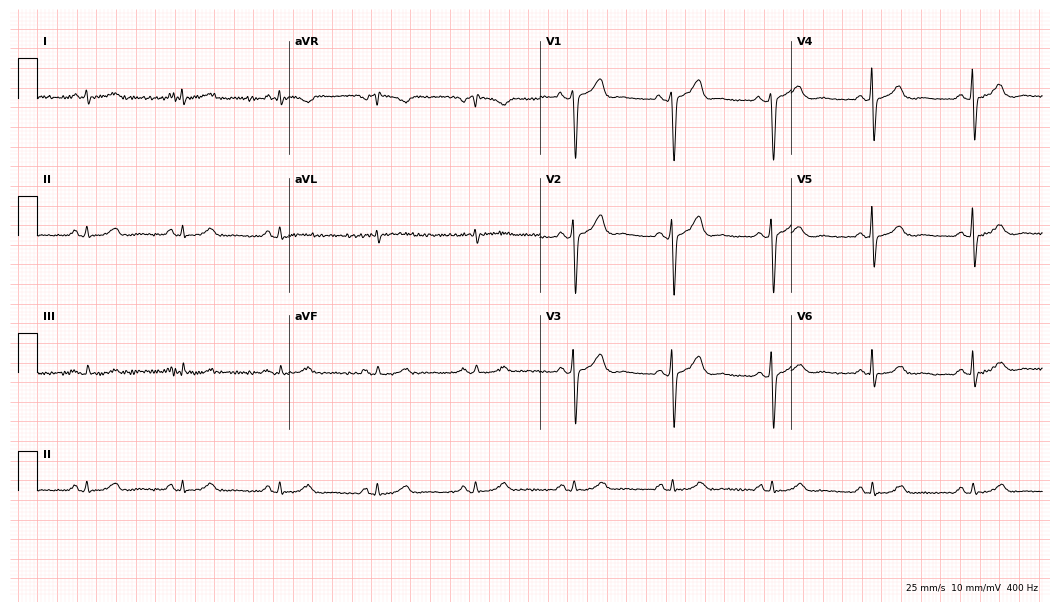
12-lead ECG from a male patient, 65 years old. Screened for six findings — first-degree AV block, right bundle branch block, left bundle branch block, sinus bradycardia, atrial fibrillation, sinus tachycardia — none is recorded. Other findings, if any, are not listed.